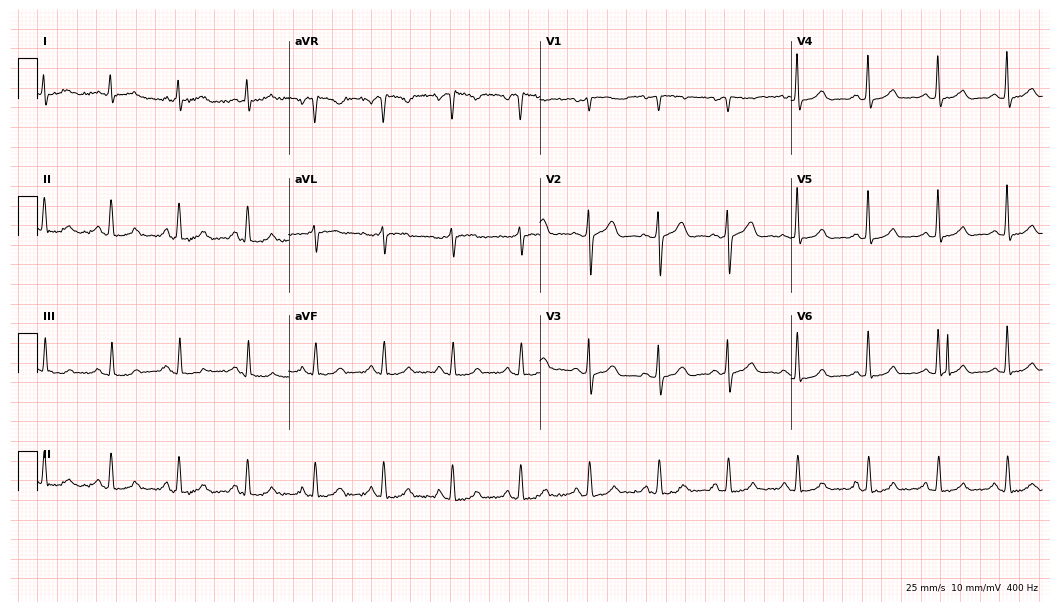
ECG (10.2-second recording at 400 Hz) — a 52-year-old female. Screened for six findings — first-degree AV block, right bundle branch block, left bundle branch block, sinus bradycardia, atrial fibrillation, sinus tachycardia — none is recorded.